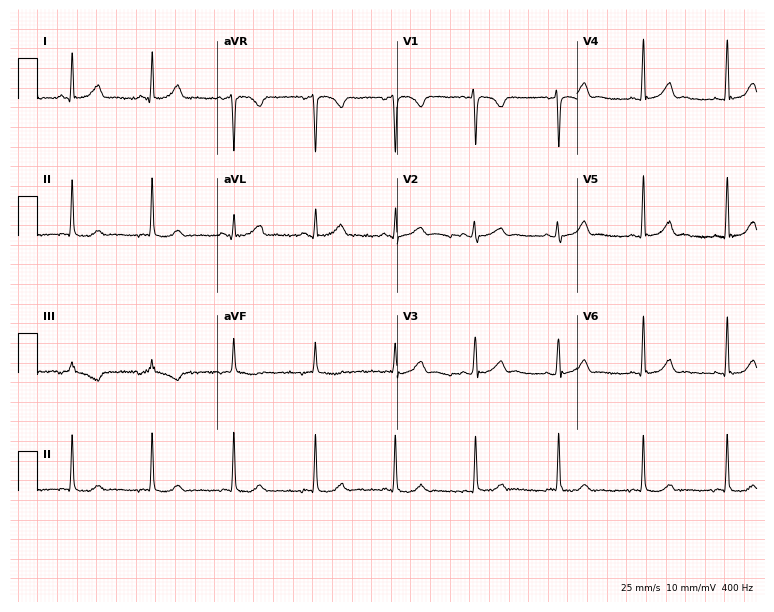
12-lead ECG (7.3-second recording at 400 Hz) from a 22-year-old female patient. Screened for six findings — first-degree AV block, right bundle branch block, left bundle branch block, sinus bradycardia, atrial fibrillation, sinus tachycardia — none is recorded.